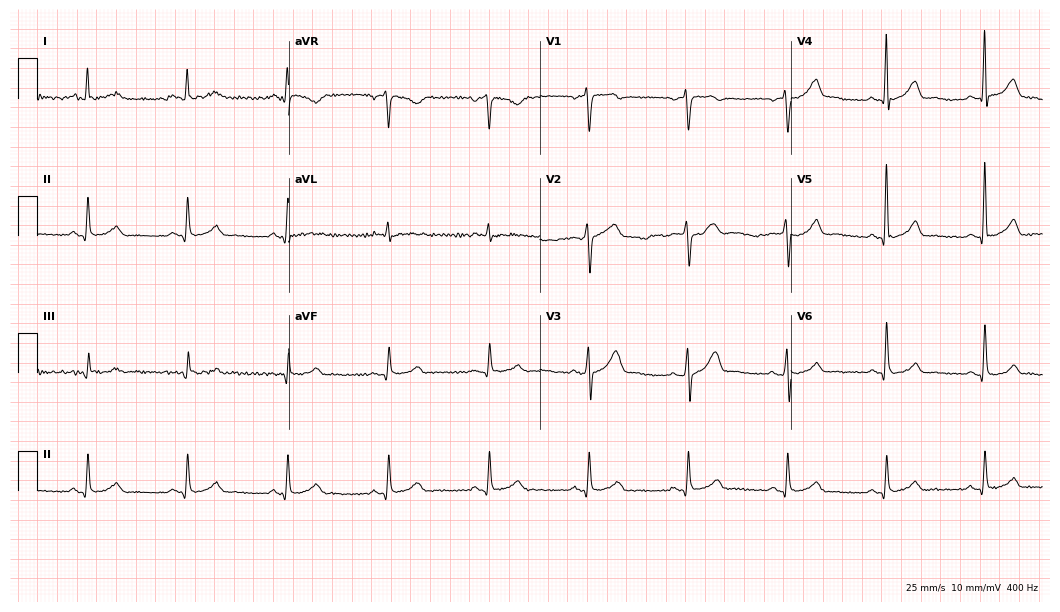
12-lead ECG (10.2-second recording at 400 Hz) from a 63-year-old male. Labelled as a normal ECG.